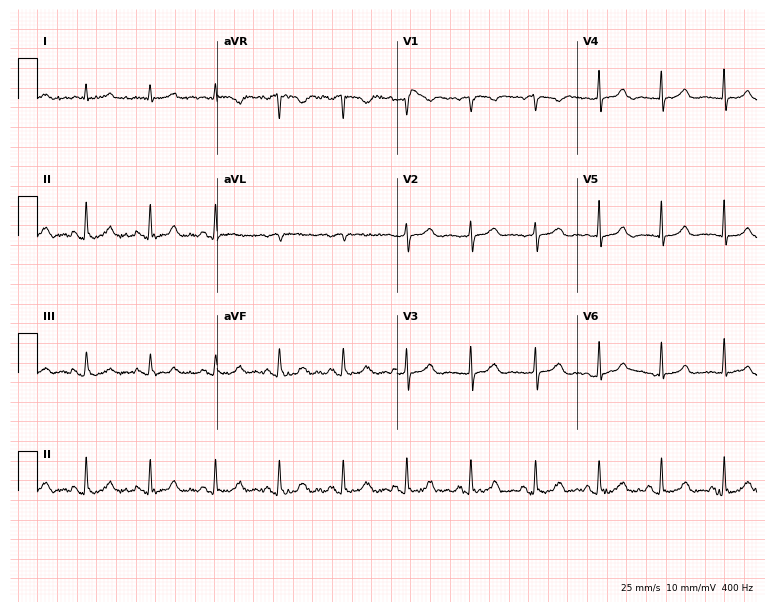
Standard 12-lead ECG recorded from a 77-year-old male patient. None of these six findings is recorded: first-degree AV block, right bundle branch block (RBBB), left bundle branch block (LBBB), sinus bradycardia, atrial fibrillation (AF), sinus tachycardia.